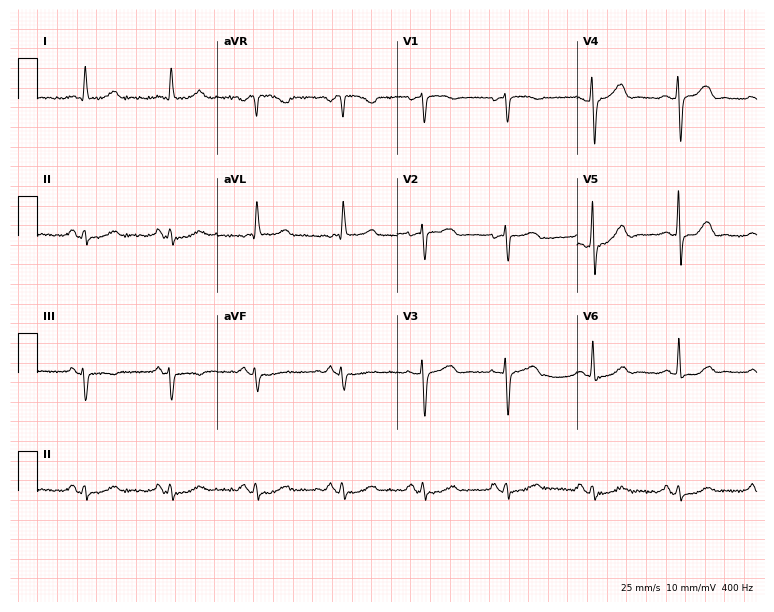
12-lead ECG (7.3-second recording at 400 Hz) from a 66-year-old female patient. Labelled as a normal ECG.